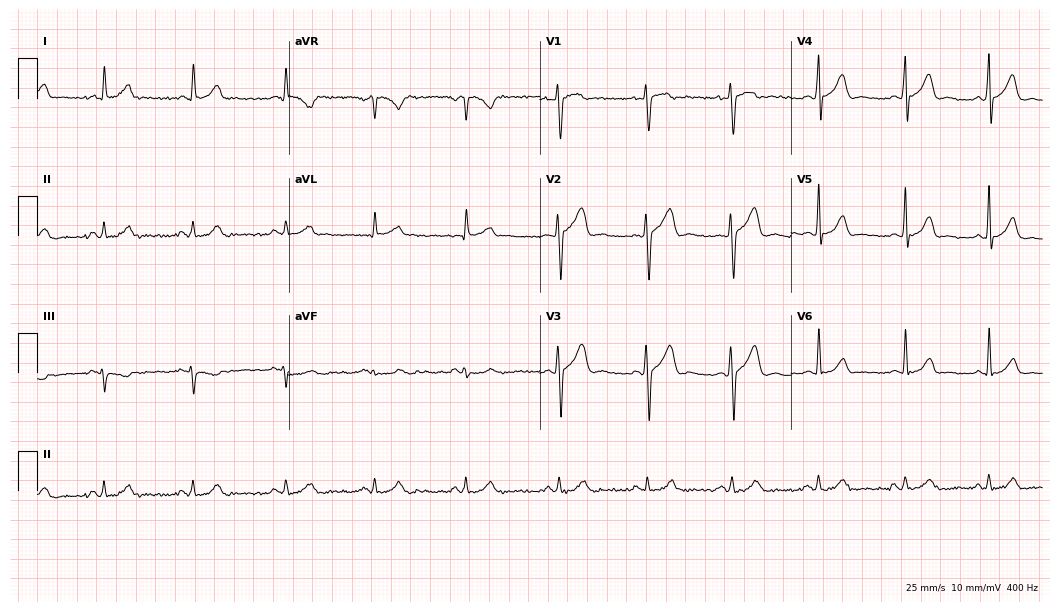
ECG (10.2-second recording at 400 Hz) — a male patient, 33 years old. Labelled as a normal ECG.